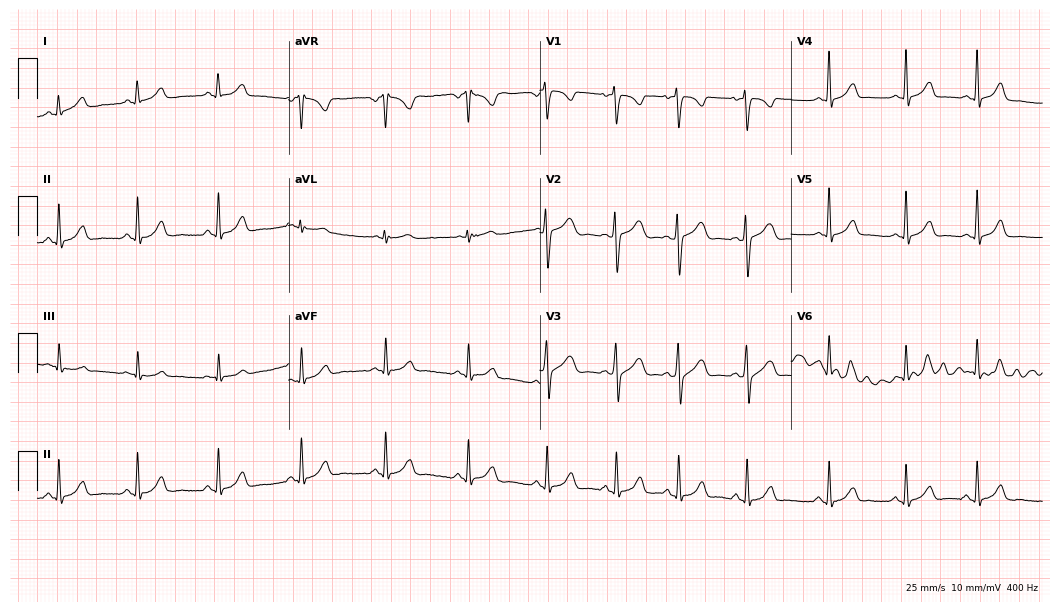
Electrocardiogram, a 22-year-old woman. Of the six screened findings (first-degree AV block, right bundle branch block, left bundle branch block, sinus bradycardia, atrial fibrillation, sinus tachycardia), none is recorded. Only these six findings were labelled.